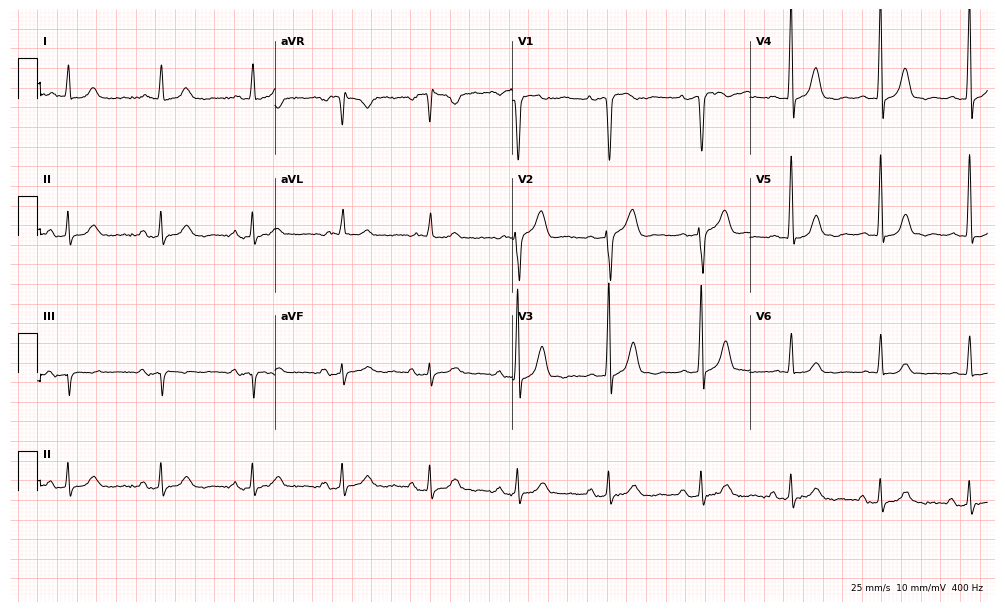
Electrocardiogram (9.7-second recording at 400 Hz), a male patient, 83 years old. Overall reading on record: normal ECG.